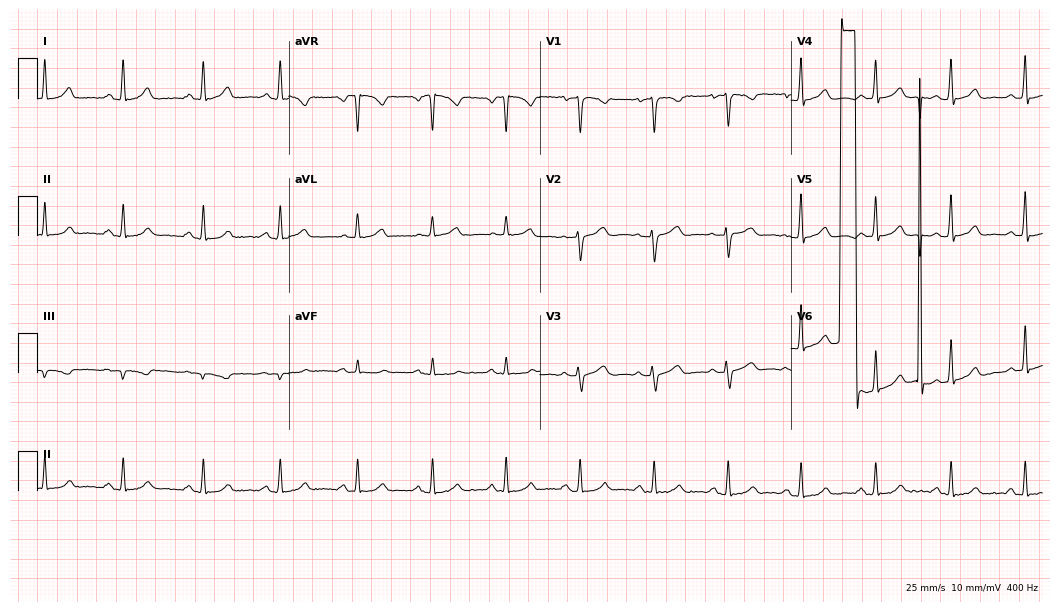
12-lead ECG from a 34-year-old female patient. Screened for six findings — first-degree AV block, right bundle branch block (RBBB), left bundle branch block (LBBB), sinus bradycardia, atrial fibrillation (AF), sinus tachycardia — none is recorded.